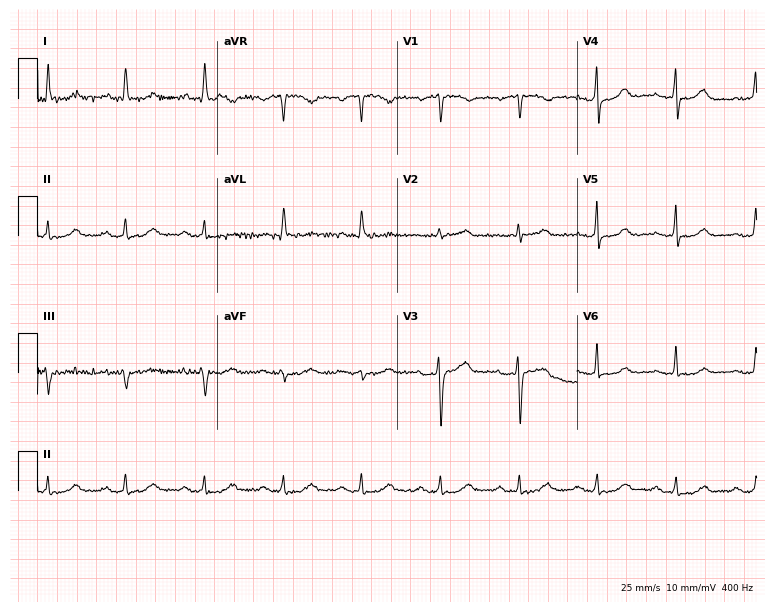
12-lead ECG (7.3-second recording at 400 Hz) from a 60-year-old female. Labelled as a normal ECG.